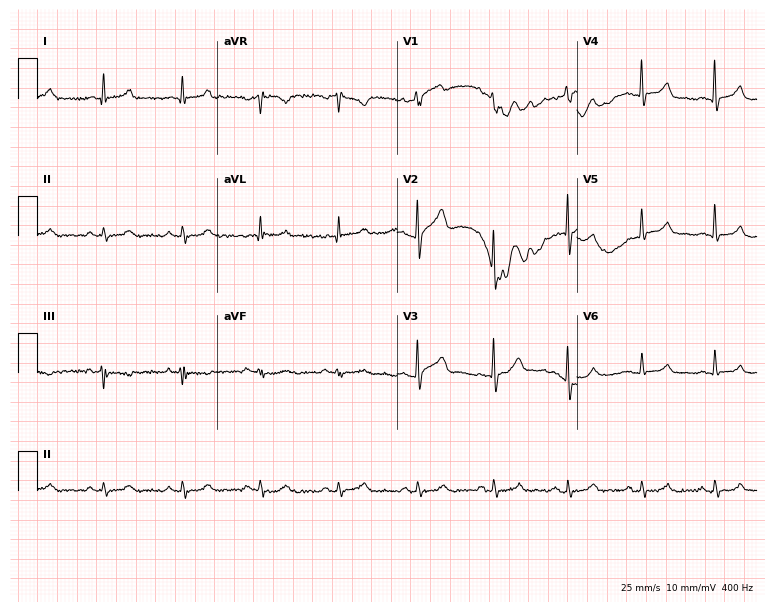
Resting 12-lead electrocardiogram. Patient: a 59-year-old male. None of these six findings is recorded: first-degree AV block, right bundle branch block (RBBB), left bundle branch block (LBBB), sinus bradycardia, atrial fibrillation (AF), sinus tachycardia.